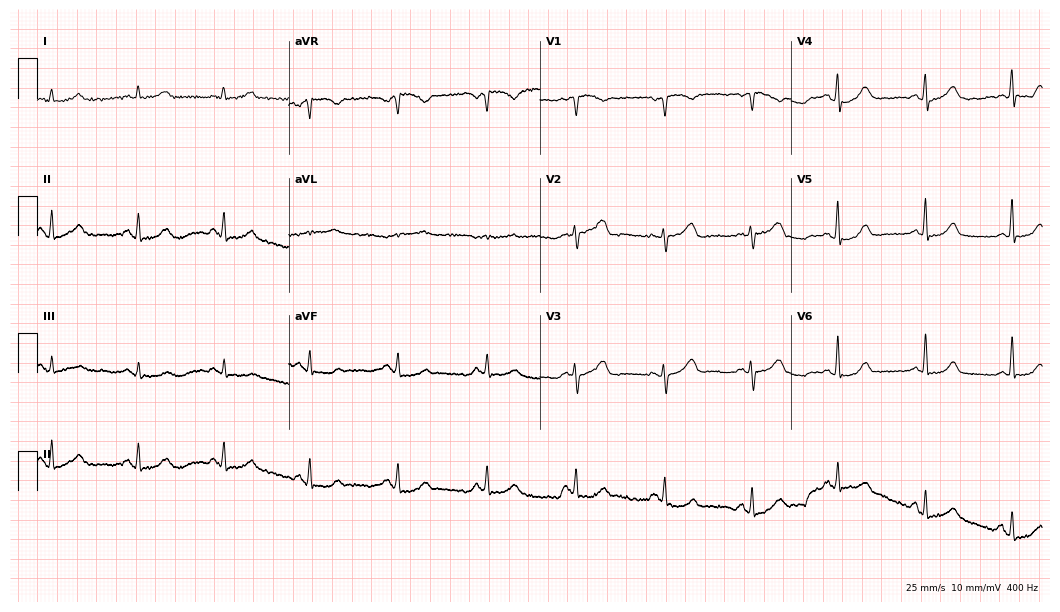
Standard 12-lead ECG recorded from a female, 48 years old. Read as a normal ECG.